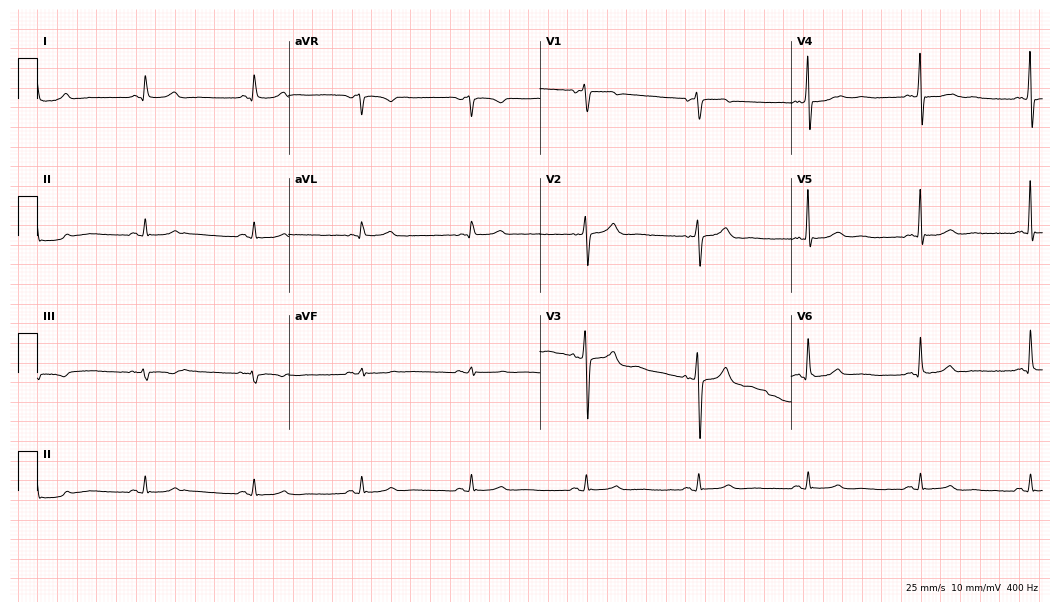
12-lead ECG from a 58-year-old man. Screened for six findings — first-degree AV block, right bundle branch block (RBBB), left bundle branch block (LBBB), sinus bradycardia, atrial fibrillation (AF), sinus tachycardia — none is recorded.